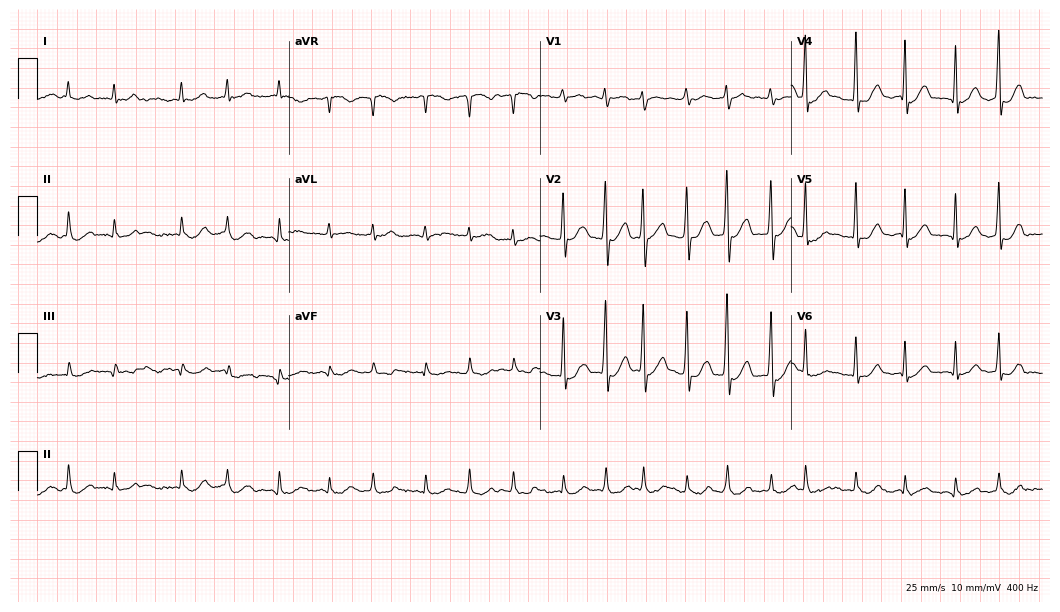
Standard 12-lead ECG recorded from a male patient, 56 years old. The tracing shows atrial fibrillation.